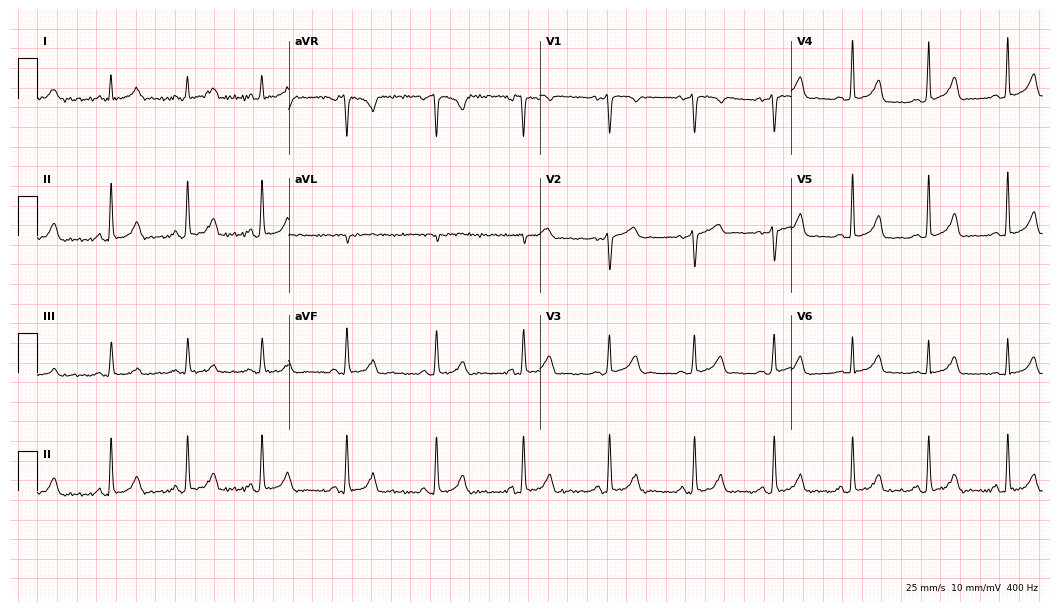
Electrocardiogram, a female, 27 years old. Overall reading on record: normal ECG.